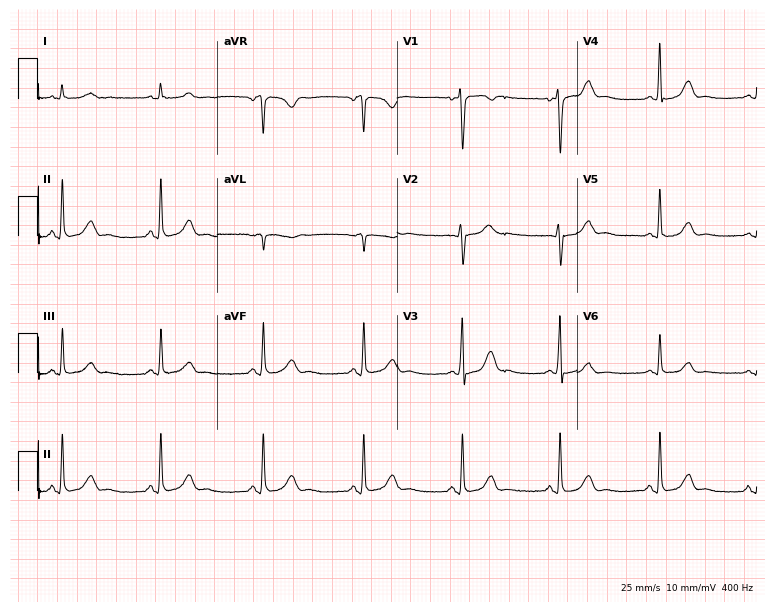
12-lead ECG (7.3-second recording at 400 Hz) from a 34-year-old female patient. Screened for six findings — first-degree AV block, right bundle branch block (RBBB), left bundle branch block (LBBB), sinus bradycardia, atrial fibrillation (AF), sinus tachycardia — none is recorded.